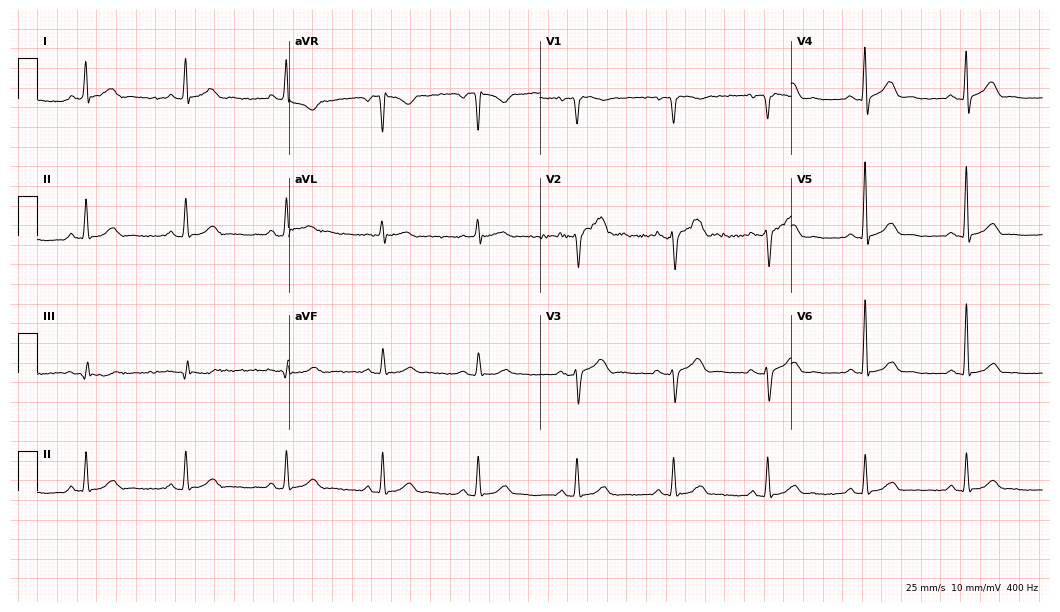
12-lead ECG from a 65-year-old woman. Labelled as a normal ECG.